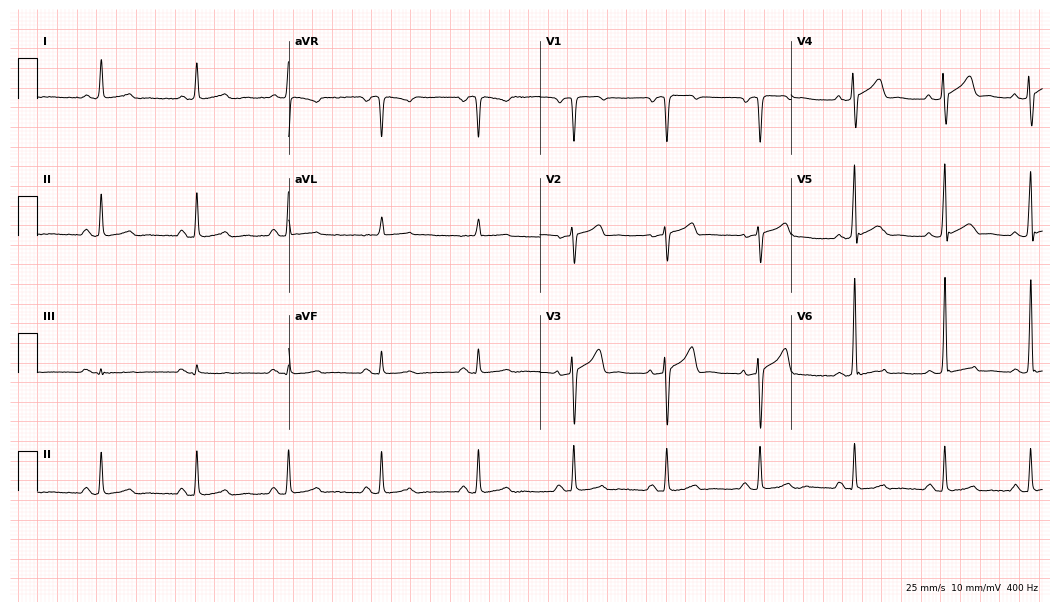
Electrocardiogram (10.2-second recording at 400 Hz), a 70-year-old male. Of the six screened findings (first-degree AV block, right bundle branch block, left bundle branch block, sinus bradycardia, atrial fibrillation, sinus tachycardia), none is recorded. Only these six findings were labelled.